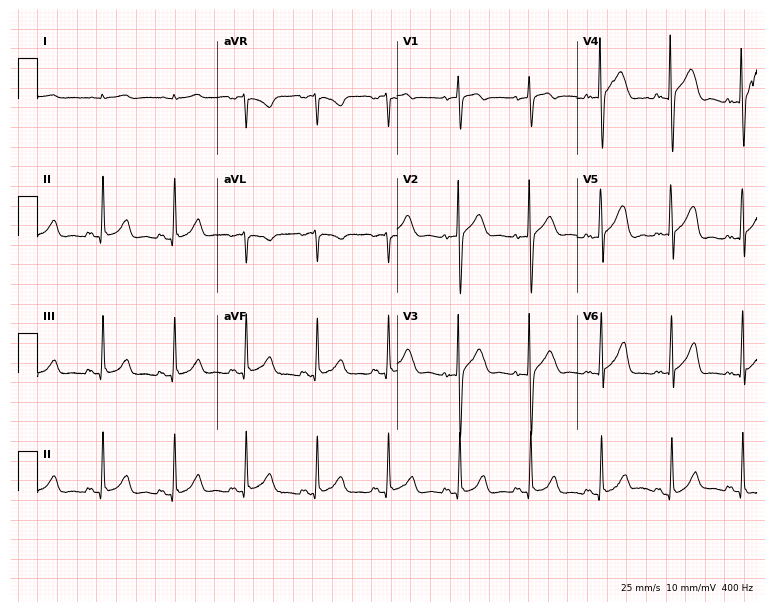
Electrocardiogram, a 69-year-old male patient. Overall reading on record: normal ECG.